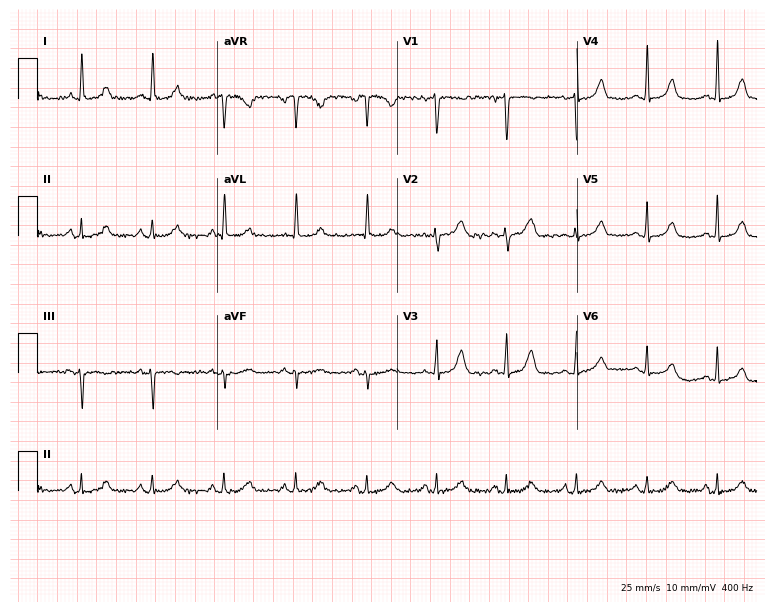
Resting 12-lead electrocardiogram. Patient: a woman, 81 years old. None of these six findings is recorded: first-degree AV block, right bundle branch block, left bundle branch block, sinus bradycardia, atrial fibrillation, sinus tachycardia. Findings outside these six are not listed.